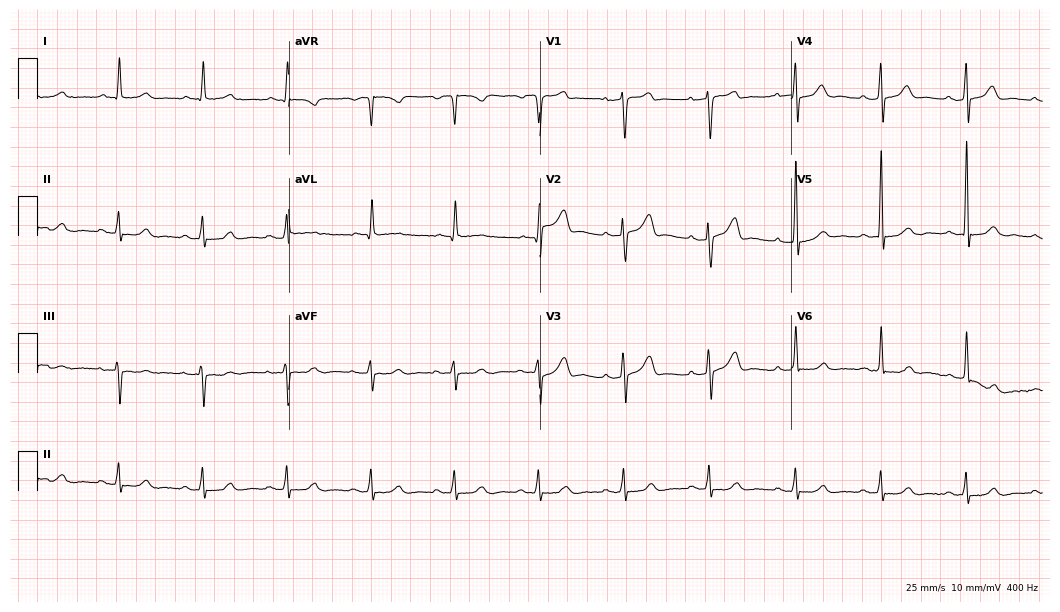
12-lead ECG from a man, 73 years old. Labelled as a normal ECG.